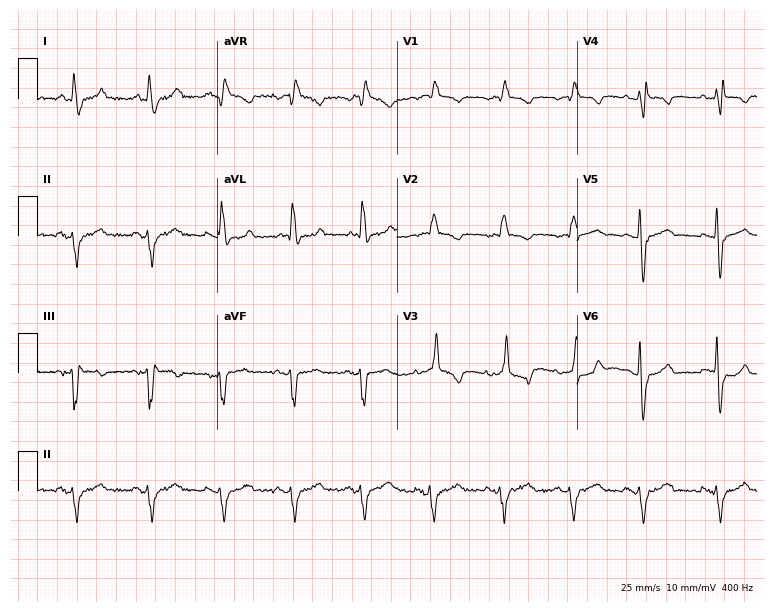
12-lead ECG (7.3-second recording at 400 Hz) from a 77-year-old female patient. Findings include right bundle branch block.